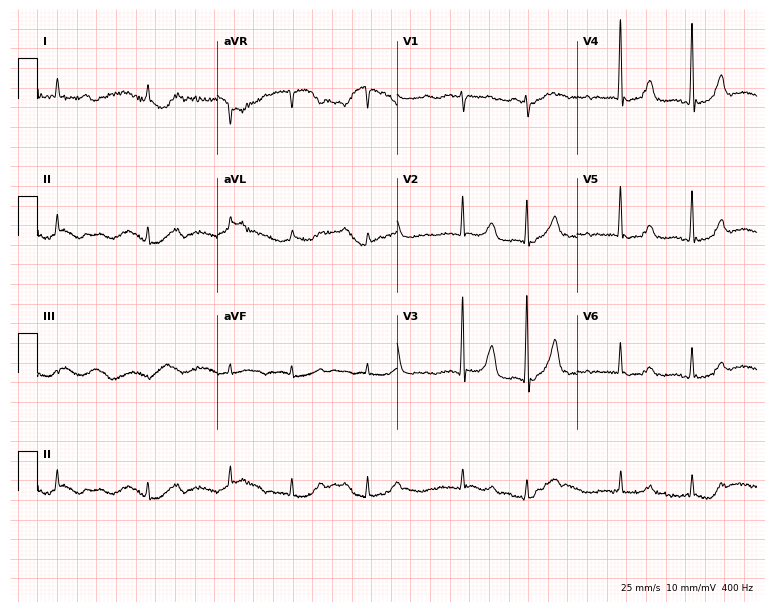
Resting 12-lead electrocardiogram. Patient: a female, 83 years old. Read as a normal ECG.